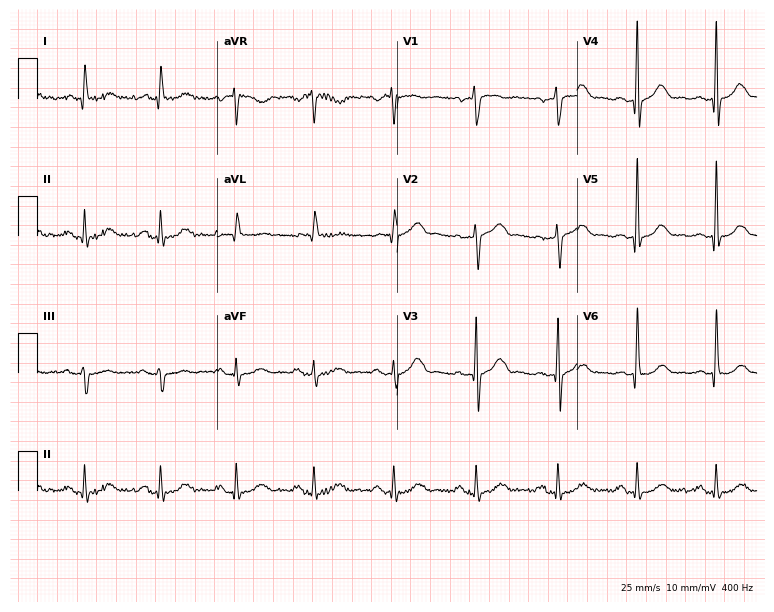
Electrocardiogram, a male patient, 67 years old. Overall reading on record: normal ECG.